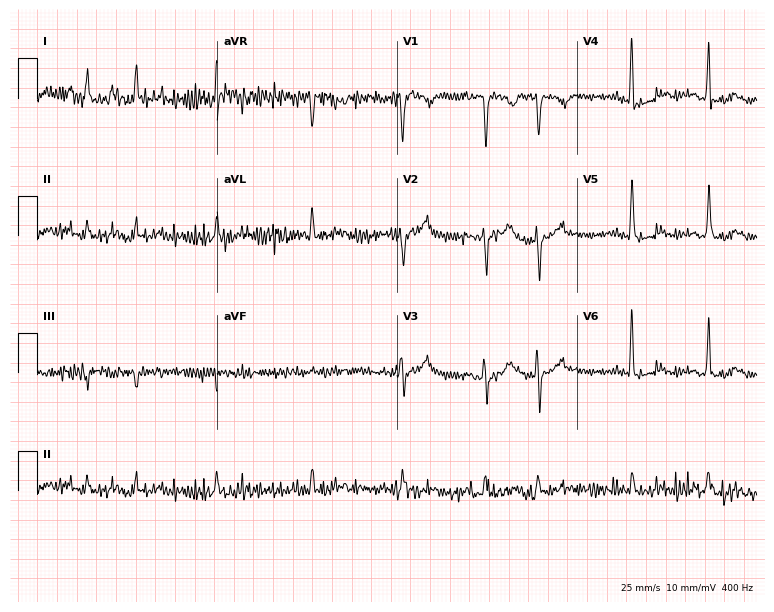
12-lead ECG from a 69-year-old man. Screened for six findings — first-degree AV block, right bundle branch block, left bundle branch block, sinus bradycardia, atrial fibrillation, sinus tachycardia — none is recorded.